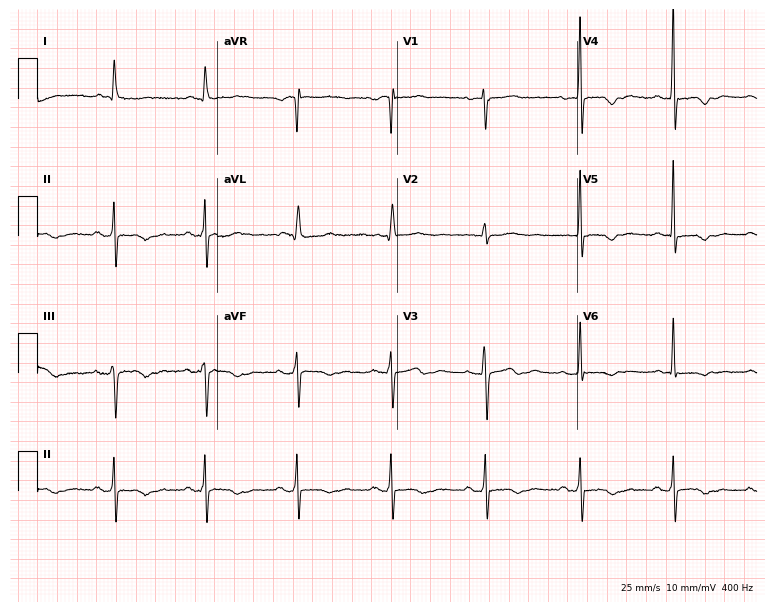
12-lead ECG from a female, 76 years old. Screened for six findings — first-degree AV block, right bundle branch block (RBBB), left bundle branch block (LBBB), sinus bradycardia, atrial fibrillation (AF), sinus tachycardia — none is recorded.